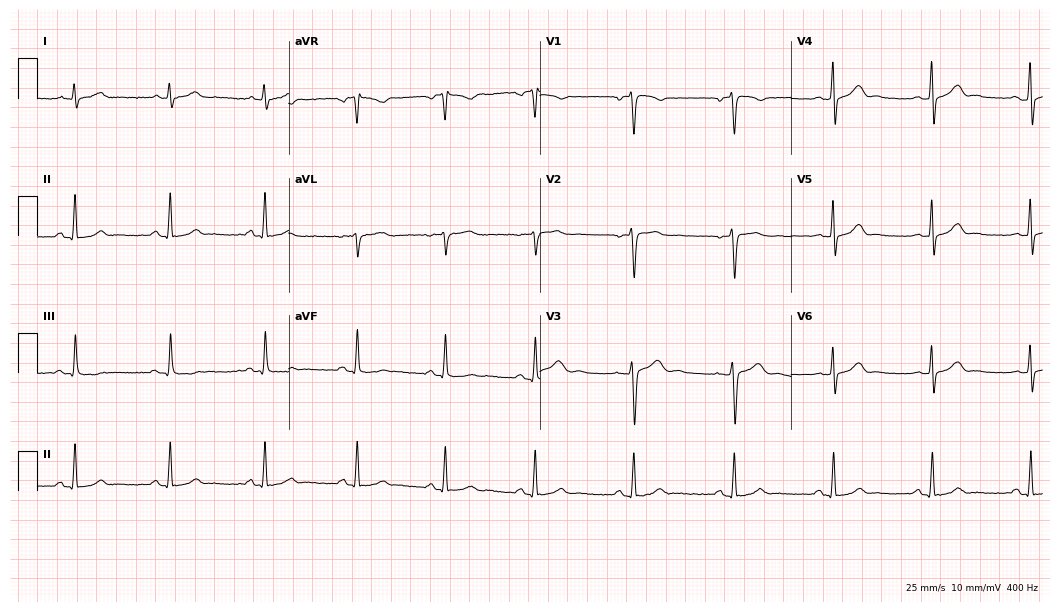
Electrocardiogram (10.2-second recording at 400 Hz), a woman, 29 years old. Overall reading on record: normal ECG.